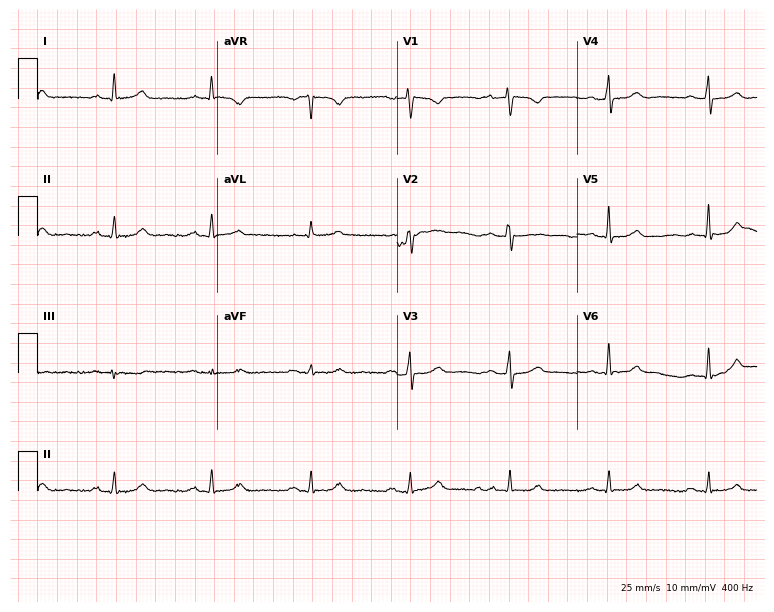
12-lead ECG from a 73-year-old man (7.3-second recording at 400 Hz). No first-degree AV block, right bundle branch block, left bundle branch block, sinus bradycardia, atrial fibrillation or sinus tachycardia recorded for this tracing.